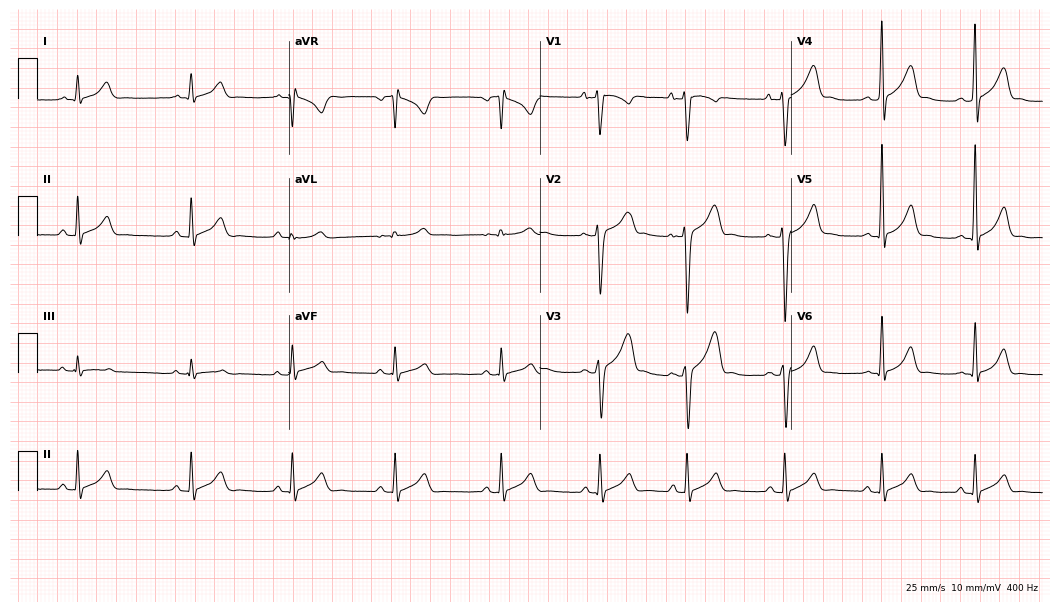
Standard 12-lead ECG recorded from a male, 20 years old. None of these six findings is recorded: first-degree AV block, right bundle branch block, left bundle branch block, sinus bradycardia, atrial fibrillation, sinus tachycardia.